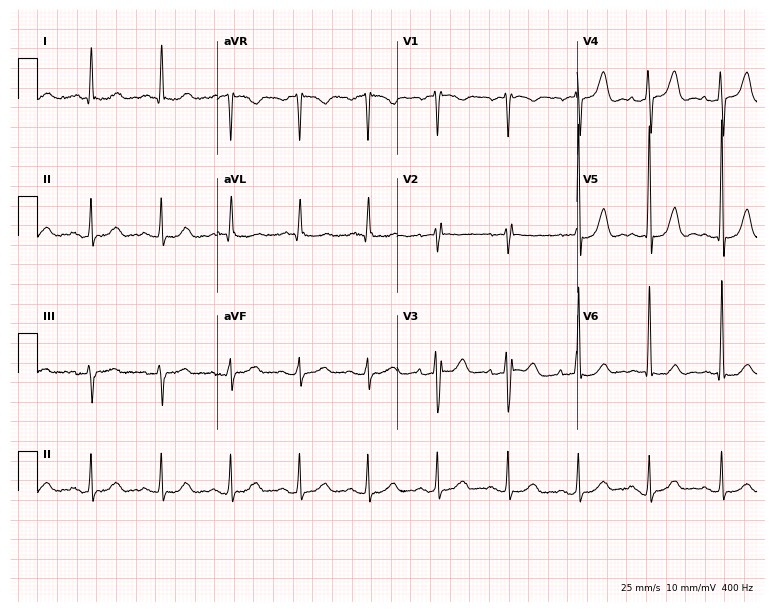
Resting 12-lead electrocardiogram. Patient: a 75-year-old male. None of these six findings is recorded: first-degree AV block, right bundle branch block, left bundle branch block, sinus bradycardia, atrial fibrillation, sinus tachycardia. Other findings, if any, are not listed.